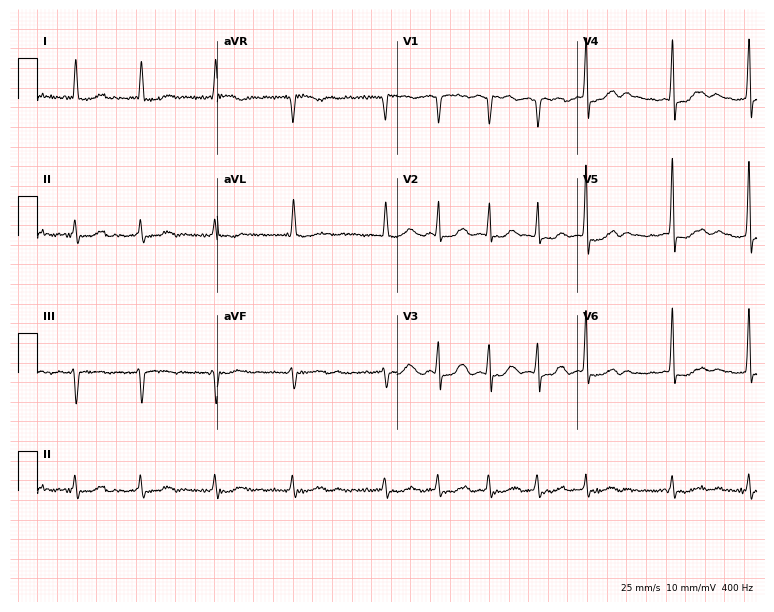
12-lead ECG from a female, 84 years old. Findings include atrial fibrillation.